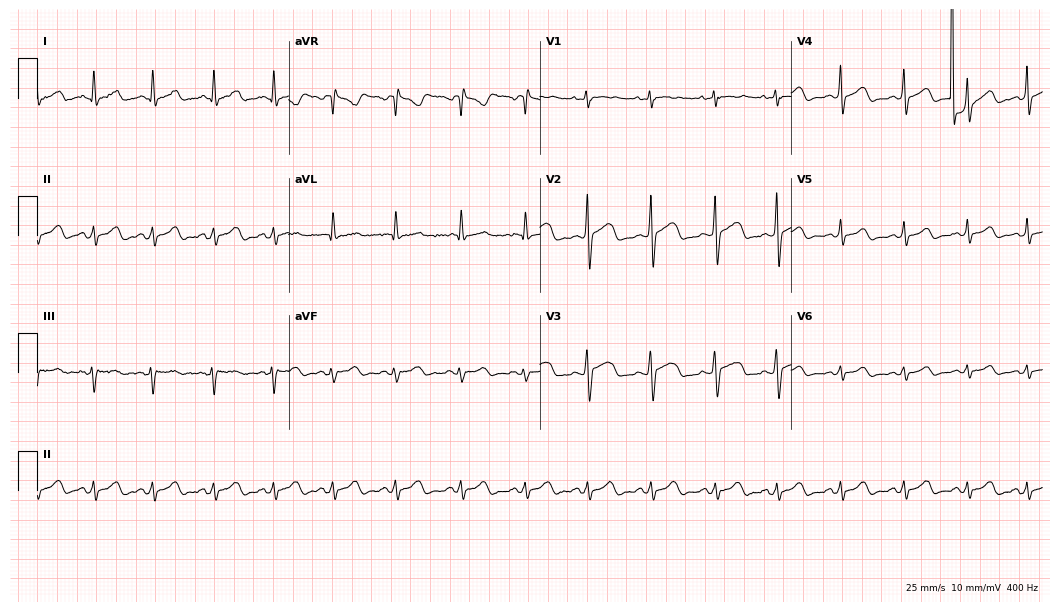
Resting 12-lead electrocardiogram. Patient: a woman, 24 years old. None of these six findings is recorded: first-degree AV block, right bundle branch block, left bundle branch block, sinus bradycardia, atrial fibrillation, sinus tachycardia. Other findings, if any, are not listed.